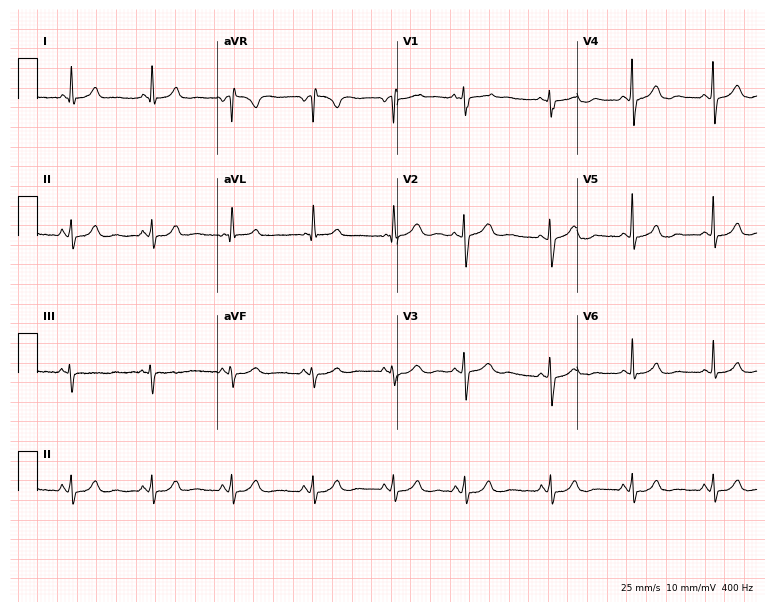
Electrocardiogram (7.3-second recording at 400 Hz), a 64-year-old woman. Overall reading on record: normal ECG.